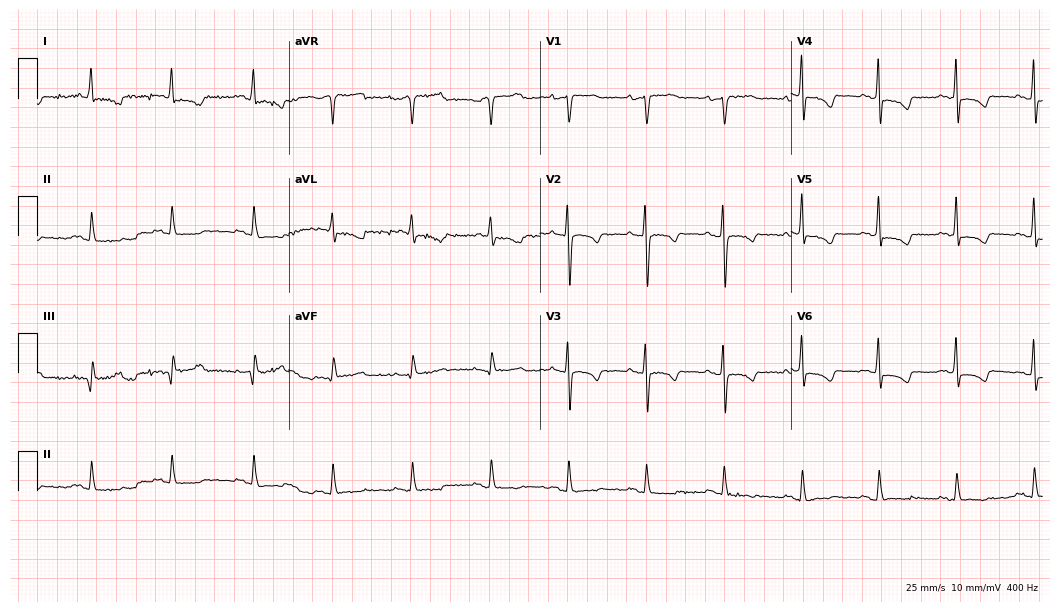
12-lead ECG from a female patient, 75 years old. No first-degree AV block, right bundle branch block, left bundle branch block, sinus bradycardia, atrial fibrillation or sinus tachycardia recorded for this tracing. Other findings, if any, are not listed.